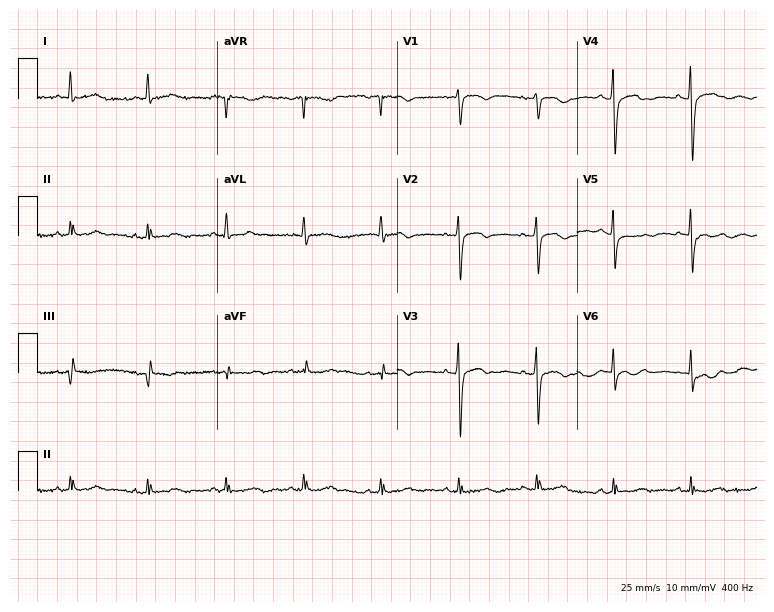
12-lead ECG from a woman, 80 years old (7.3-second recording at 400 Hz). No first-degree AV block, right bundle branch block, left bundle branch block, sinus bradycardia, atrial fibrillation or sinus tachycardia recorded for this tracing. Findings outside these six are not listed.